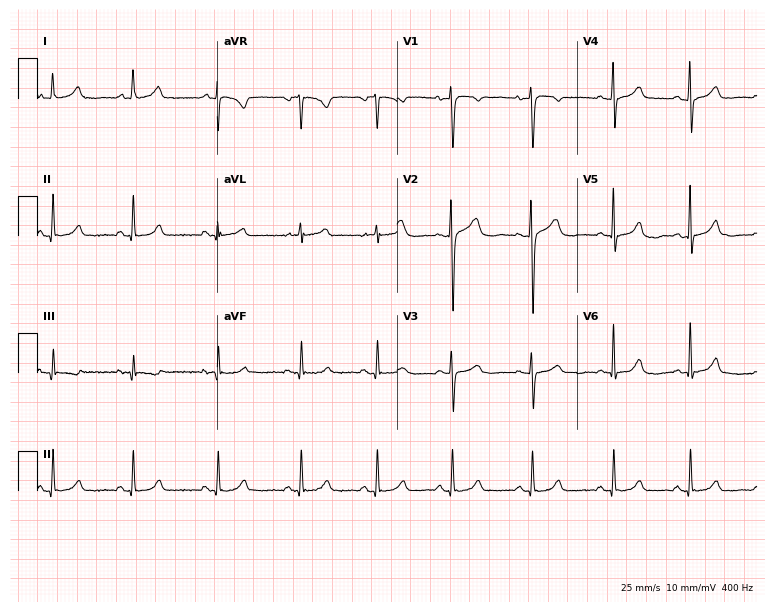
Standard 12-lead ECG recorded from a 37-year-old female. Read as a normal ECG.